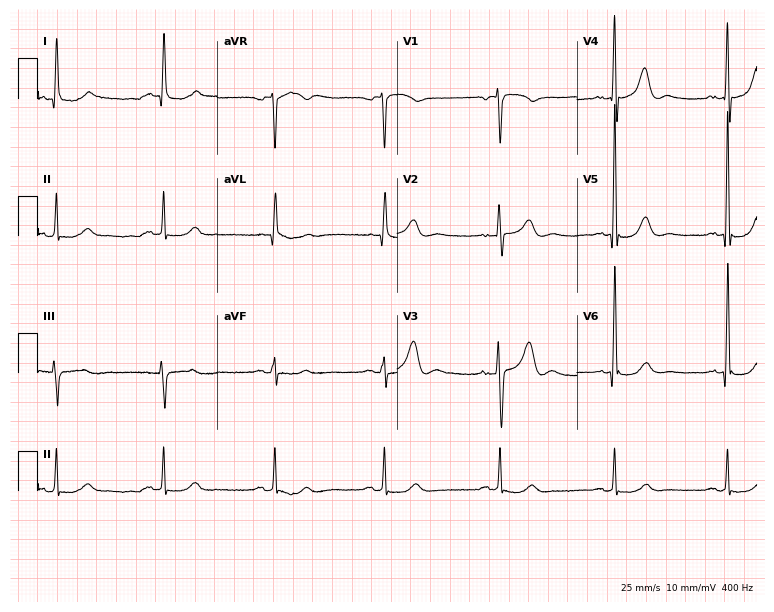
ECG (7.3-second recording at 400 Hz) — a male, 84 years old. Labelled as a normal ECG.